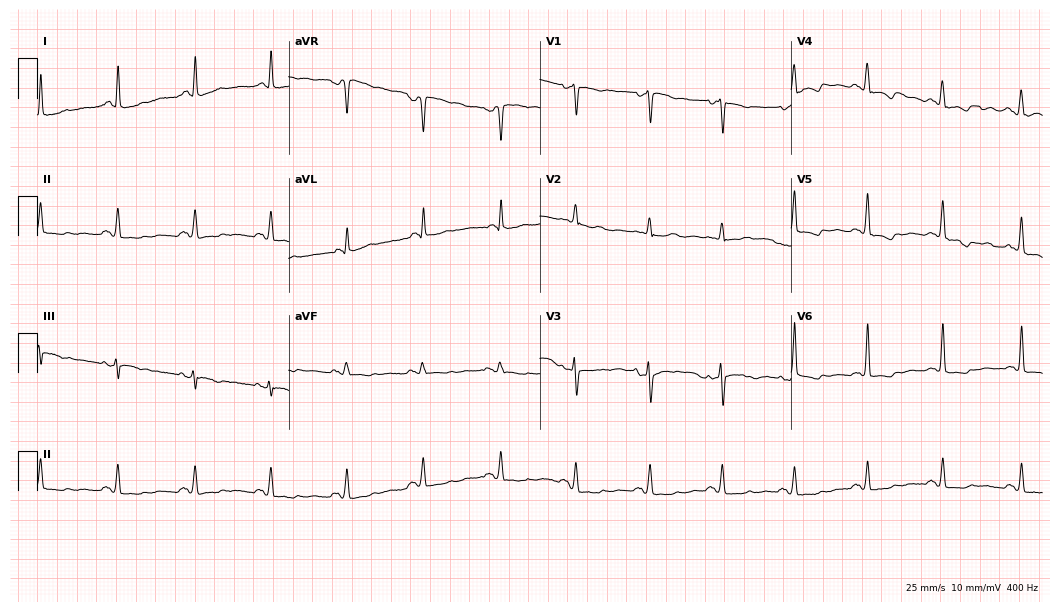
12-lead ECG from a 62-year-old female patient (10.2-second recording at 400 Hz). No first-degree AV block, right bundle branch block, left bundle branch block, sinus bradycardia, atrial fibrillation or sinus tachycardia recorded for this tracing.